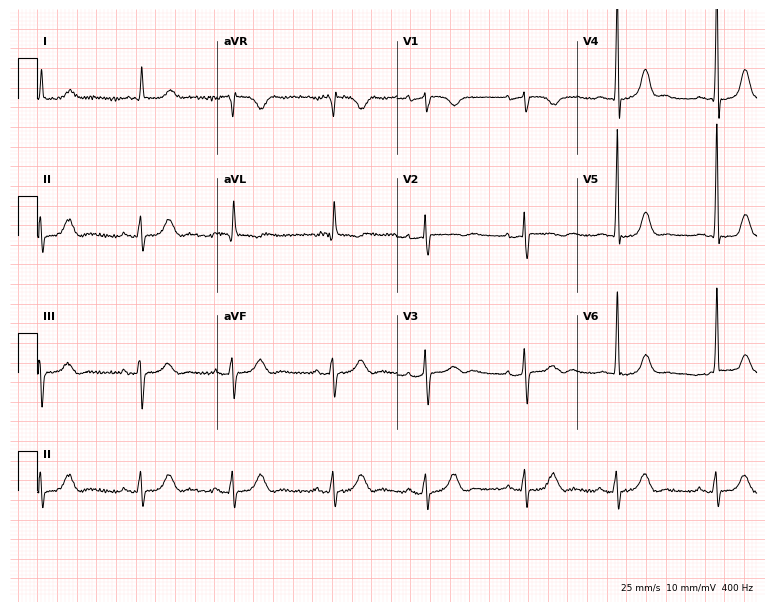
Standard 12-lead ECG recorded from a female, 71 years old. Read as a normal ECG.